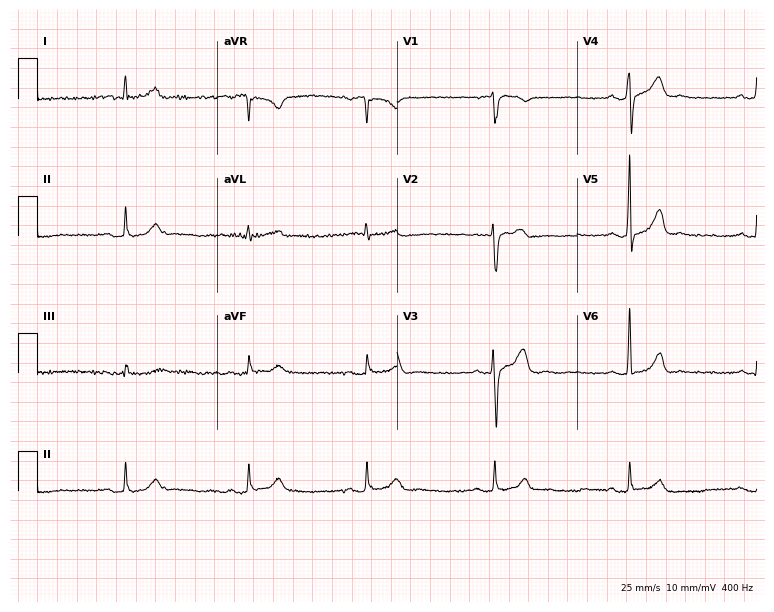
Standard 12-lead ECG recorded from a 62-year-old male (7.3-second recording at 400 Hz). The tracing shows sinus bradycardia (a sinus rate of 50 beats per minute or less).